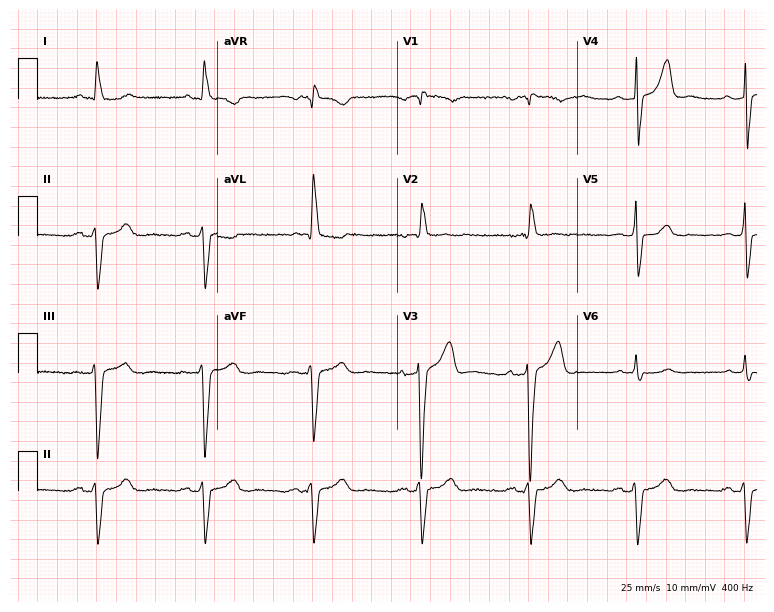
12-lead ECG from a 66-year-old male (7.3-second recording at 400 Hz). Shows right bundle branch block (RBBB).